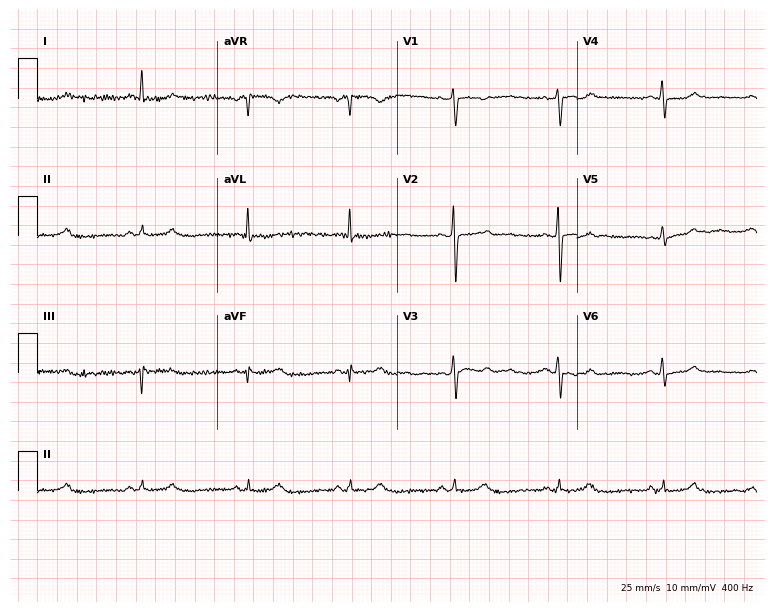
Electrocardiogram, a female patient, 60 years old. Overall reading on record: normal ECG.